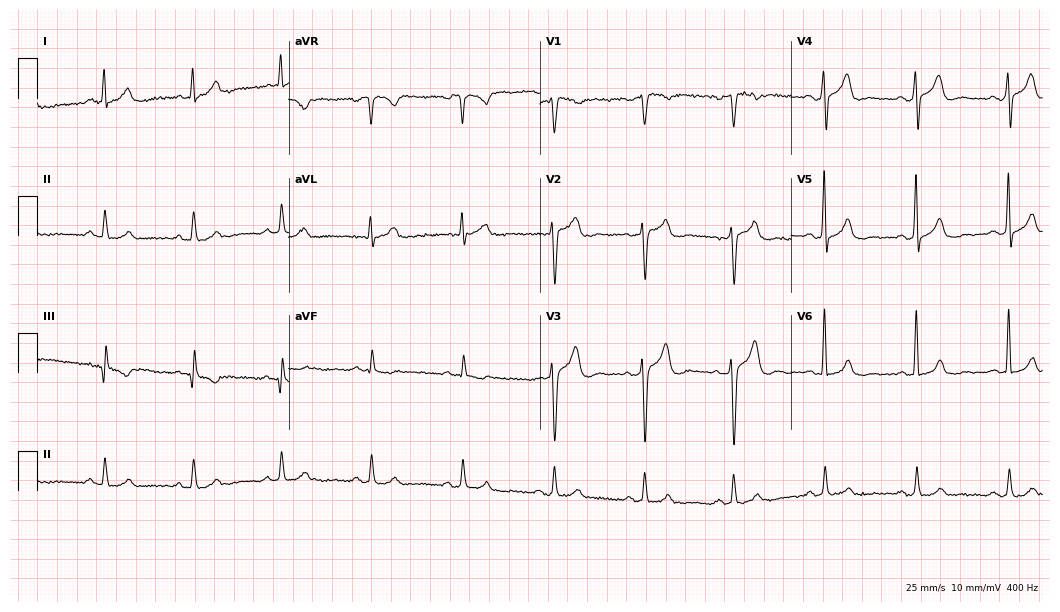
Standard 12-lead ECG recorded from a man, 55 years old (10.2-second recording at 400 Hz). Read as a normal ECG.